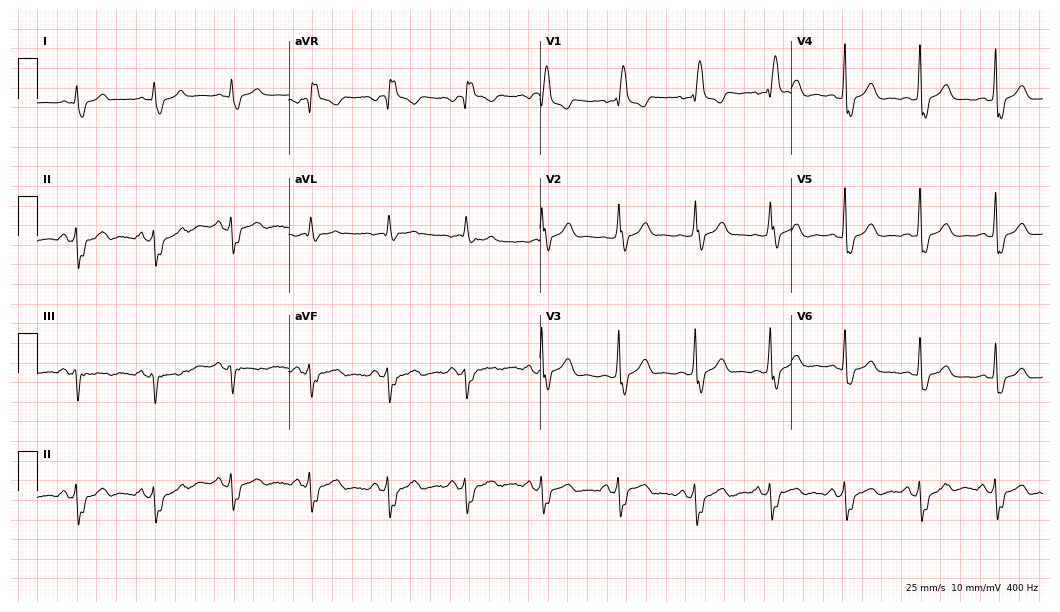
12-lead ECG from a male, 67 years old. Findings include right bundle branch block.